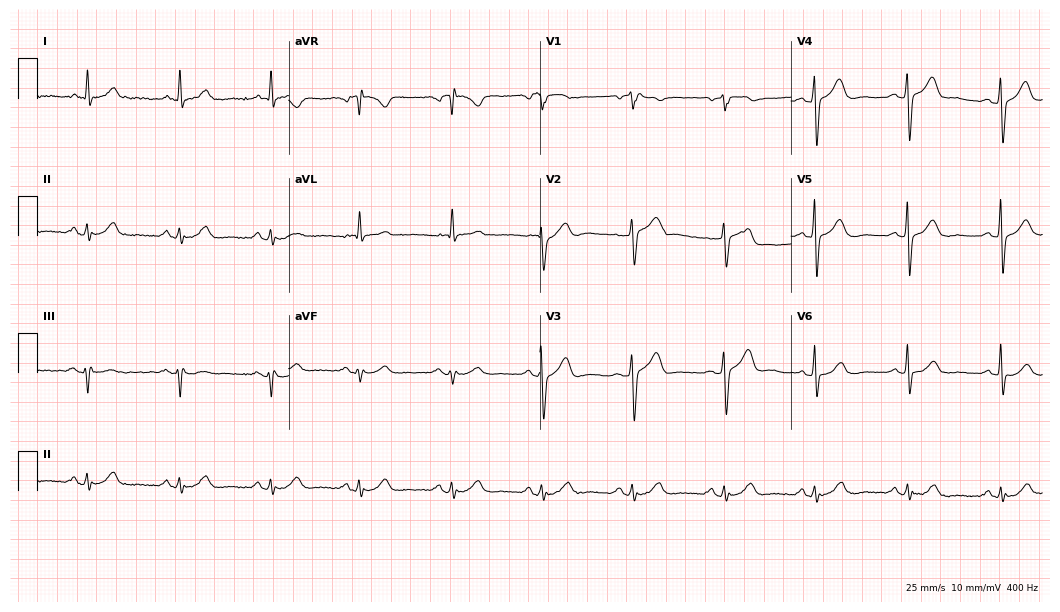
Resting 12-lead electrocardiogram. Patient: a male, 82 years old. Read as a normal ECG.